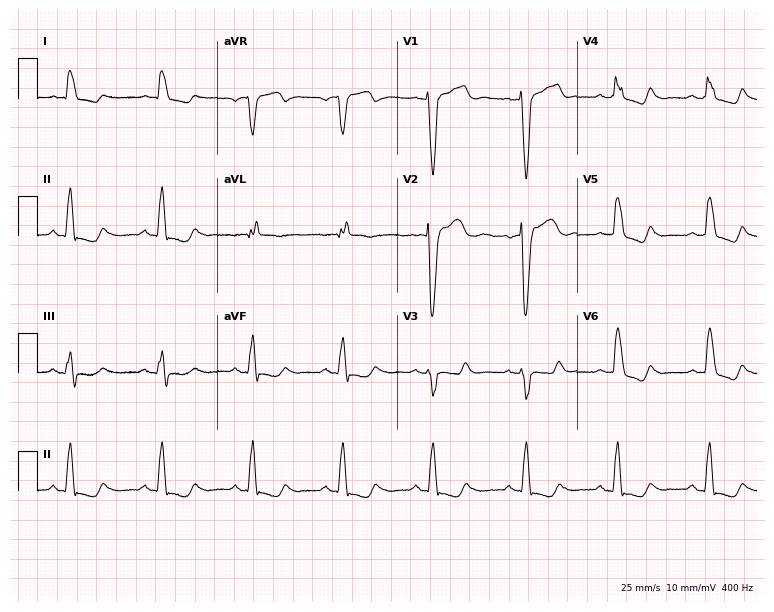
ECG (7.3-second recording at 400 Hz) — a 68-year-old female. Findings include left bundle branch block (LBBB).